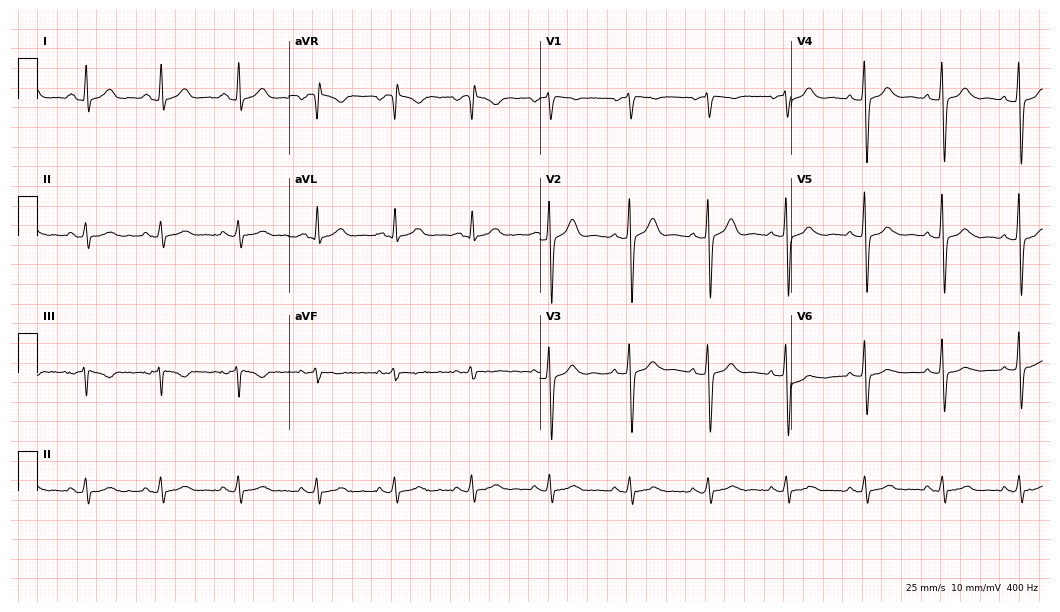
ECG (10.2-second recording at 400 Hz) — a 44-year-old female. Screened for six findings — first-degree AV block, right bundle branch block, left bundle branch block, sinus bradycardia, atrial fibrillation, sinus tachycardia — none is recorded. Other findings, if any, are not listed.